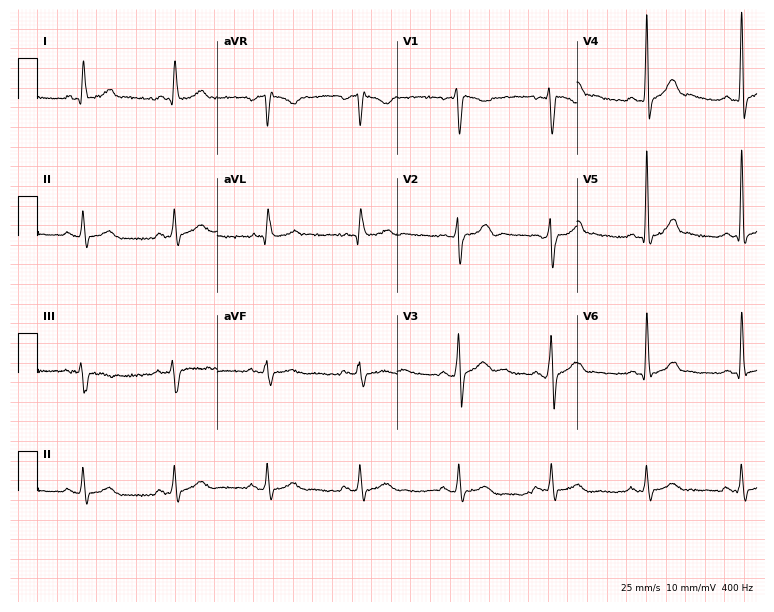
12-lead ECG from a 35-year-old male patient. No first-degree AV block, right bundle branch block (RBBB), left bundle branch block (LBBB), sinus bradycardia, atrial fibrillation (AF) or sinus tachycardia recorded for this tracing.